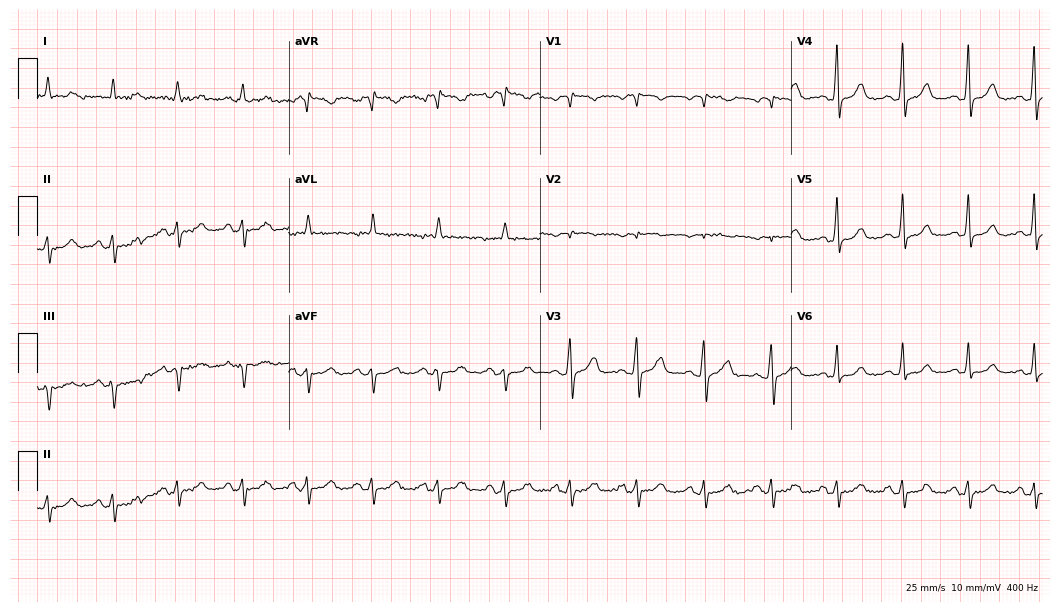
Resting 12-lead electrocardiogram. Patient: a 55-year-old female. None of these six findings is recorded: first-degree AV block, right bundle branch block, left bundle branch block, sinus bradycardia, atrial fibrillation, sinus tachycardia.